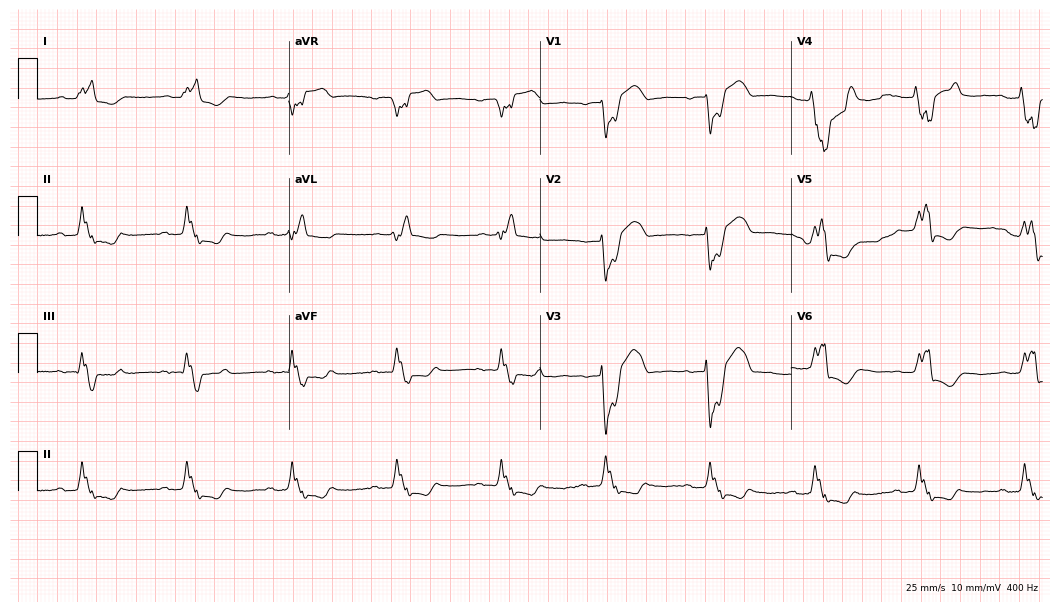
ECG — a male patient, 69 years old. Findings include left bundle branch block.